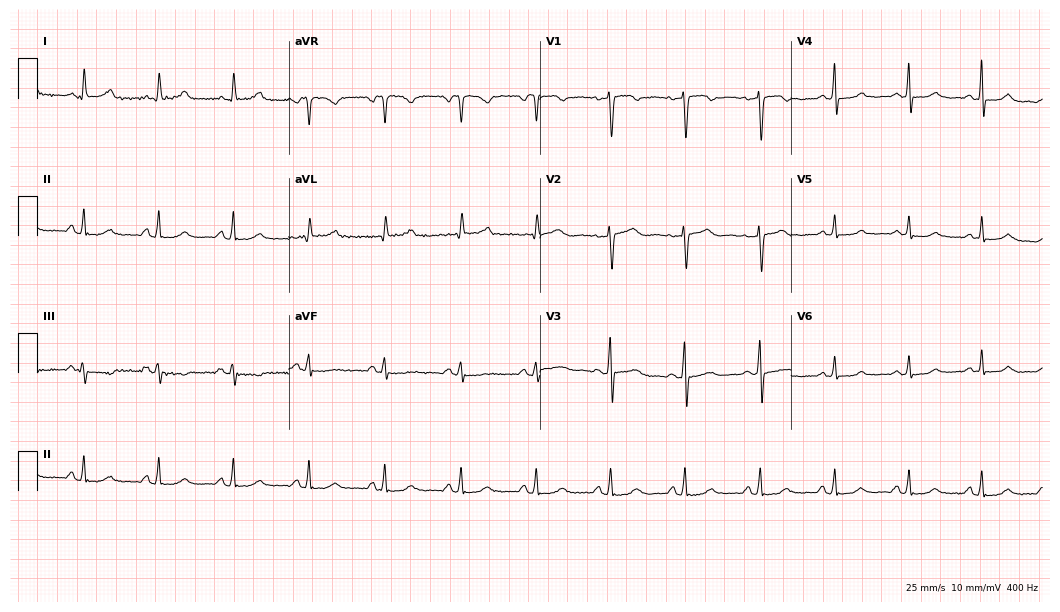
ECG (10.2-second recording at 400 Hz) — a woman, 55 years old. Labelled as a normal ECG.